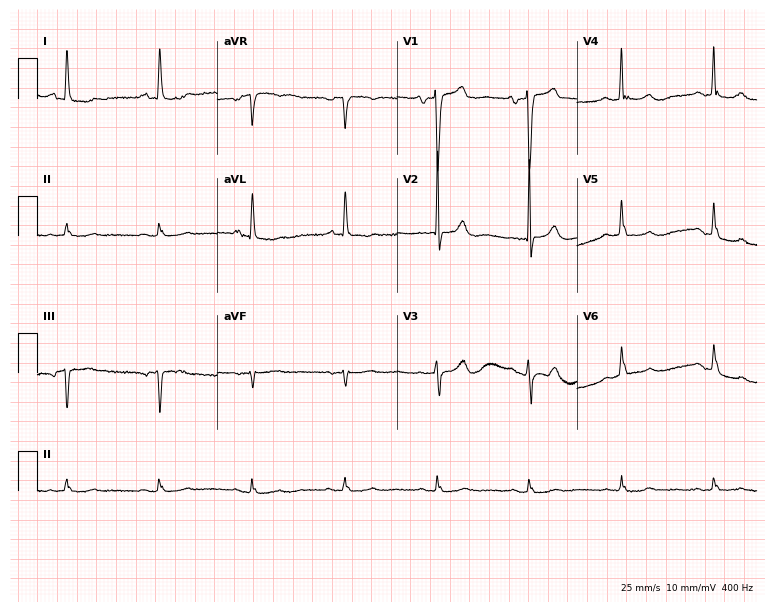
12-lead ECG from a female patient, 84 years old (7.3-second recording at 400 Hz). No first-degree AV block, right bundle branch block, left bundle branch block, sinus bradycardia, atrial fibrillation or sinus tachycardia recorded for this tracing. Only these six findings were labelled.